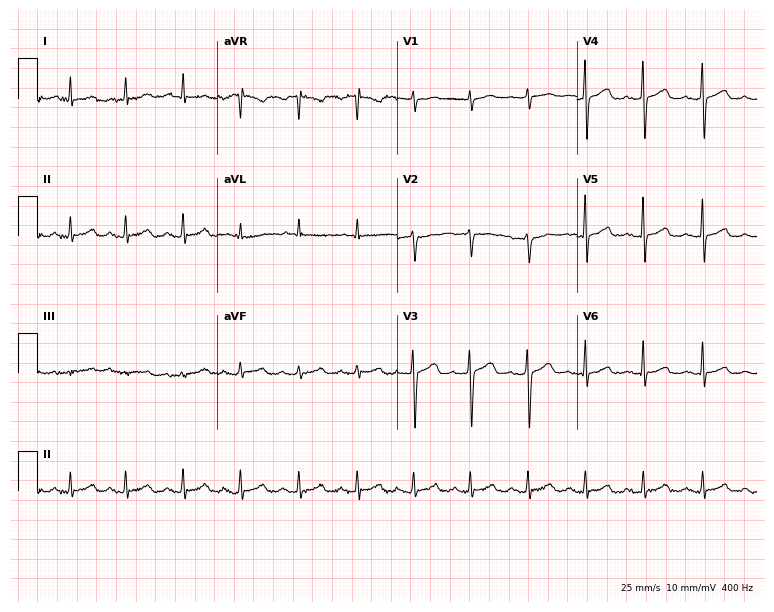
12-lead ECG from a 44-year-old female patient. Findings include sinus tachycardia (a sinus rate of 100 beats per minute or more).